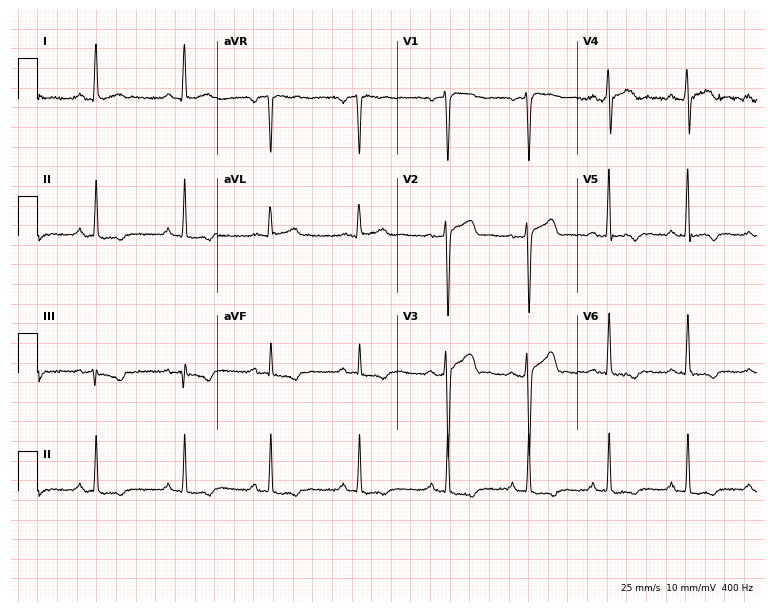
Electrocardiogram (7.3-second recording at 400 Hz), a 29-year-old male patient. Of the six screened findings (first-degree AV block, right bundle branch block (RBBB), left bundle branch block (LBBB), sinus bradycardia, atrial fibrillation (AF), sinus tachycardia), none is recorded.